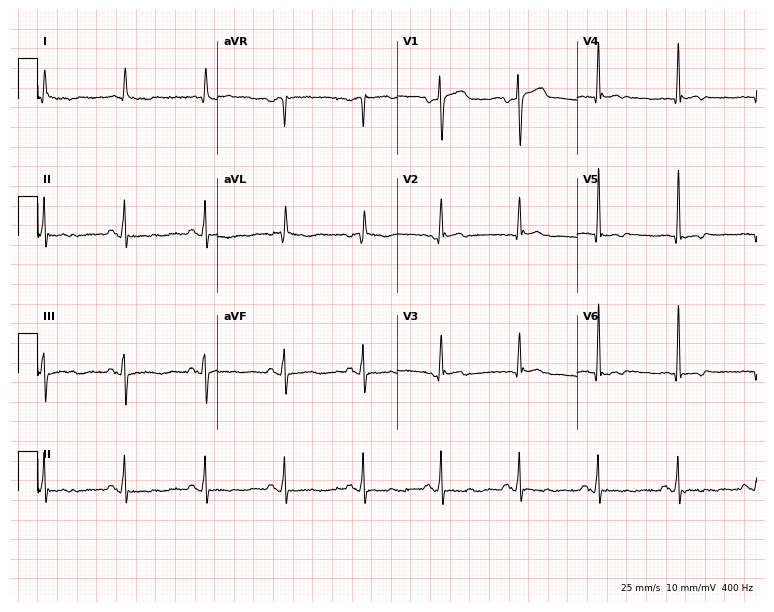
12-lead ECG (7.3-second recording at 400 Hz) from an 84-year-old man. Screened for six findings — first-degree AV block, right bundle branch block, left bundle branch block, sinus bradycardia, atrial fibrillation, sinus tachycardia — none is recorded.